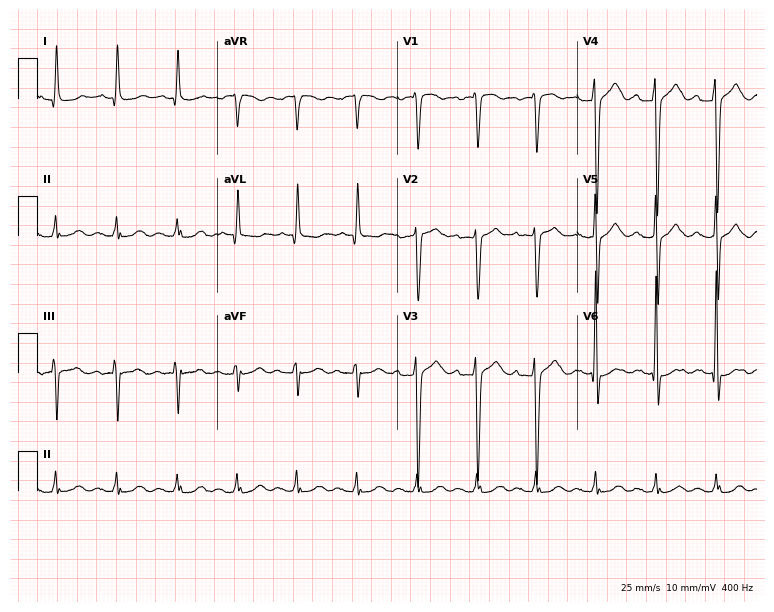
ECG (7.3-second recording at 400 Hz) — an 80-year-old female patient. Screened for six findings — first-degree AV block, right bundle branch block, left bundle branch block, sinus bradycardia, atrial fibrillation, sinus tachycardia — none is recorded. Only these six findings were labelled.